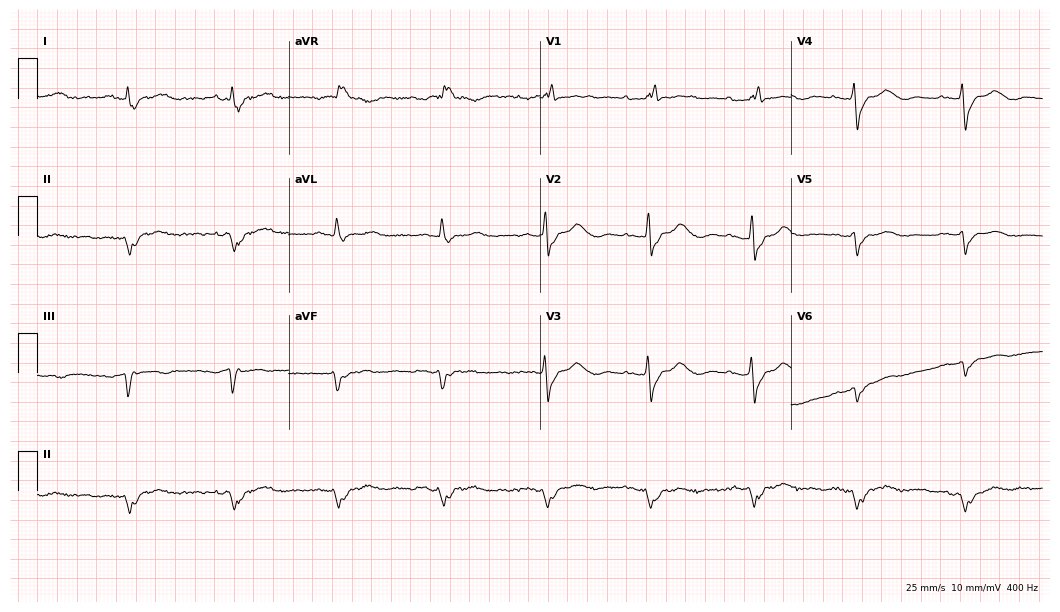
Standard 12-lead ECG recorded from an 84-year-old woman. The tracing shows first-degree AV block, right bundle branch block (RBBB).